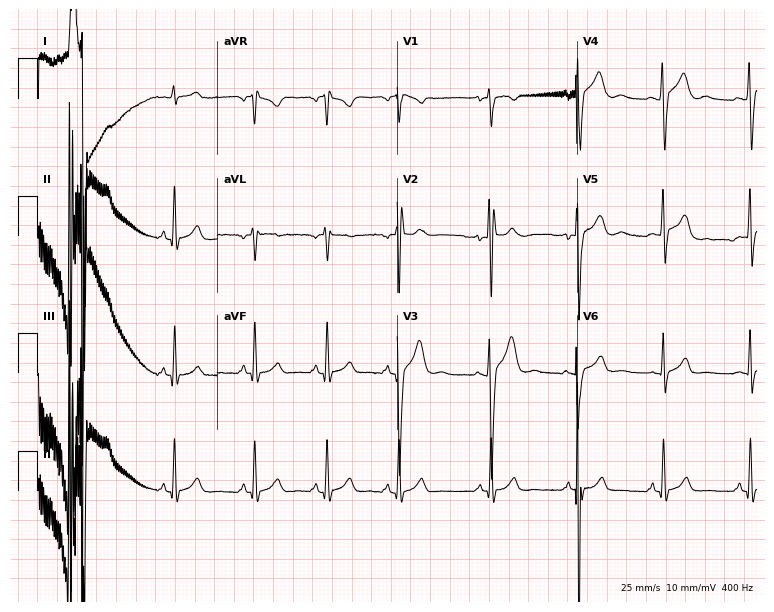
Resting 12-lead electrocardiogram. Patient: a 19-year-old male. None of these six findings is recorded: first-degree AV block, right bundle branch block, left bundle branch block, sinus bradycardia, atrial fibrillation, sinus tachycardia. Other findings, if any, are not listed.